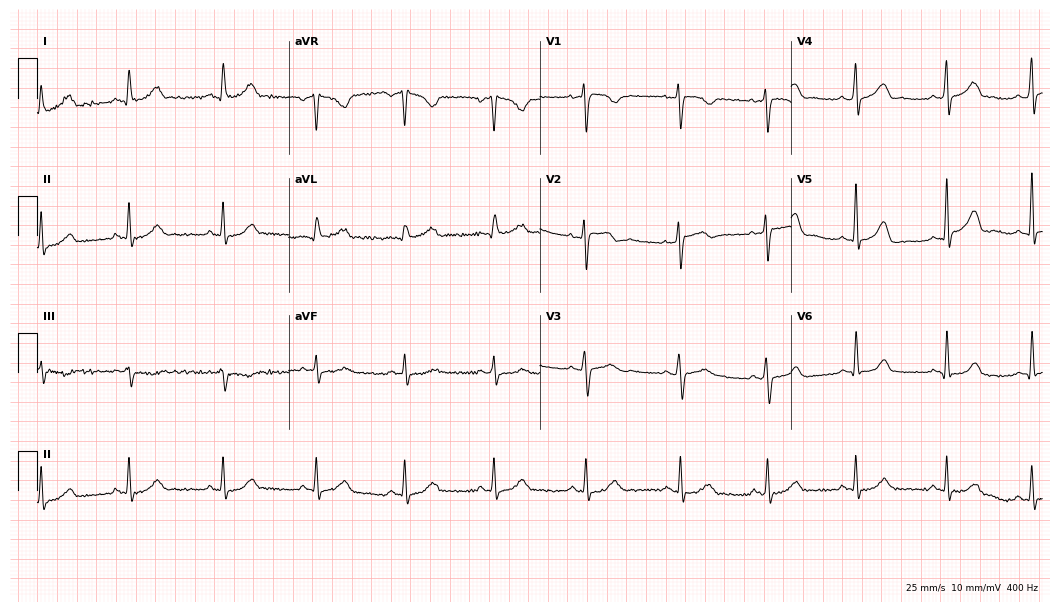
12-lead ECG from a 43-year-old female (10.2-second recording at 400 Hz). Recorded interpretation: within normal limits.